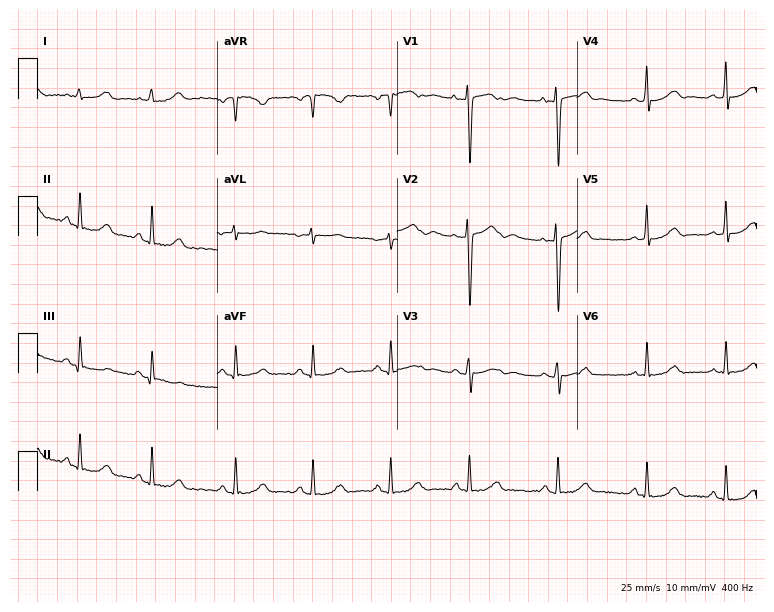
12-lead ECG (7.3-second recording at 400 Hz) from a female, 19 years old. Screened for six findings — first-degree AV block, right bundle branch block, left bundle branch block, sinus bradycardia, atrial fibrillation, sinus tachycardia — none is recorded. Other findings, if any, are not listed.